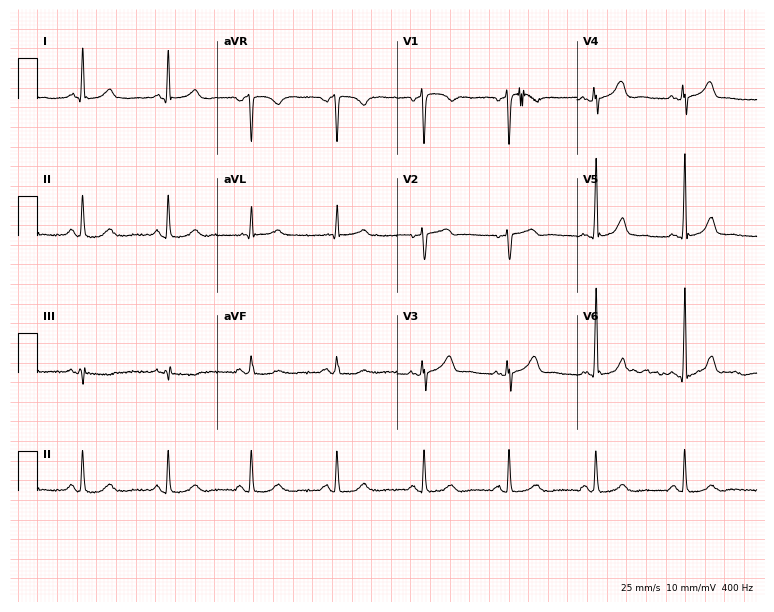
Standard 12-lead ECG recorded from a 48-year-old male patient. Read as a normal ECG.